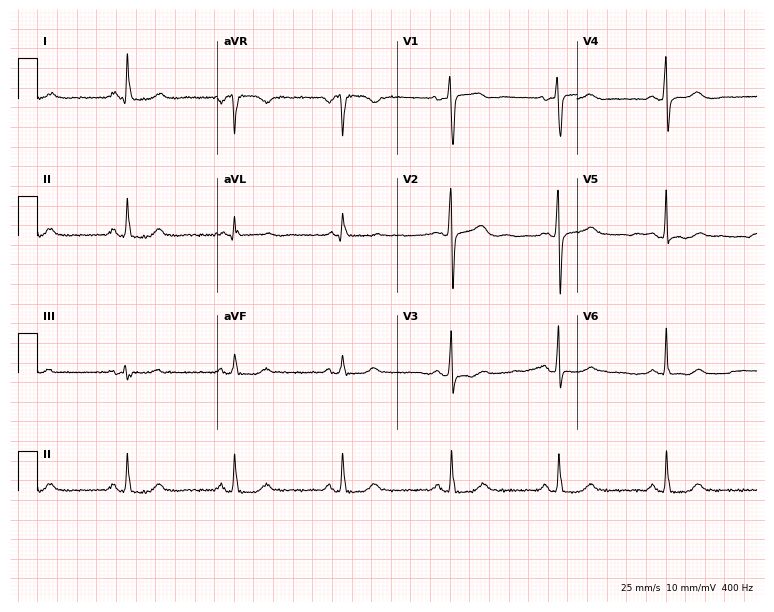
Resting 12-lead electrocardiogram. Patient: a 73-year-old female. Read as a normal ECG.